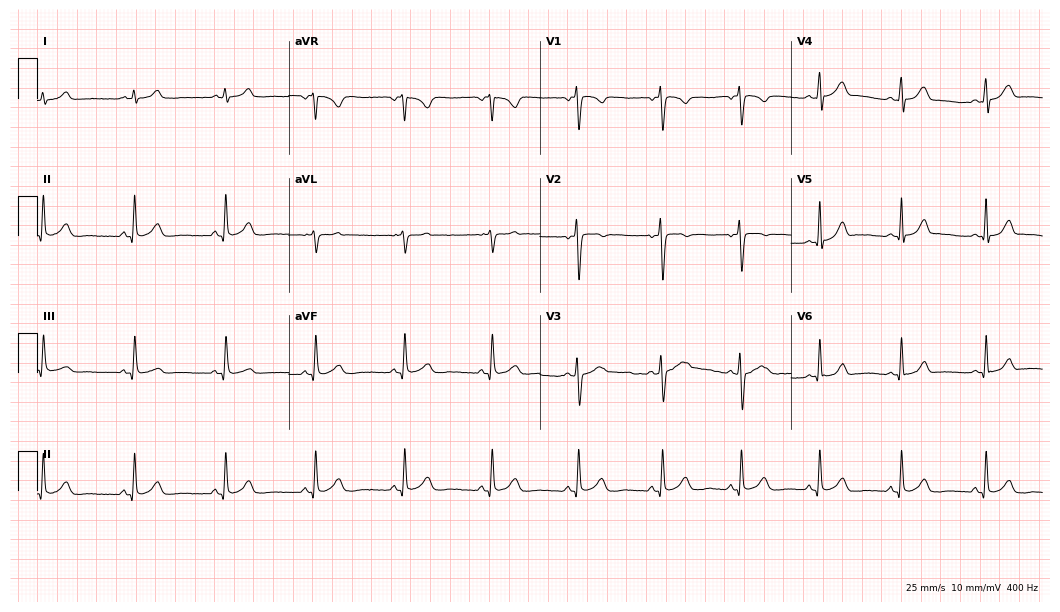
12-lead ECG from a woman, 19 years old (10.2-second recording at 400 Hz). Recorded interpretation: within normal limits.